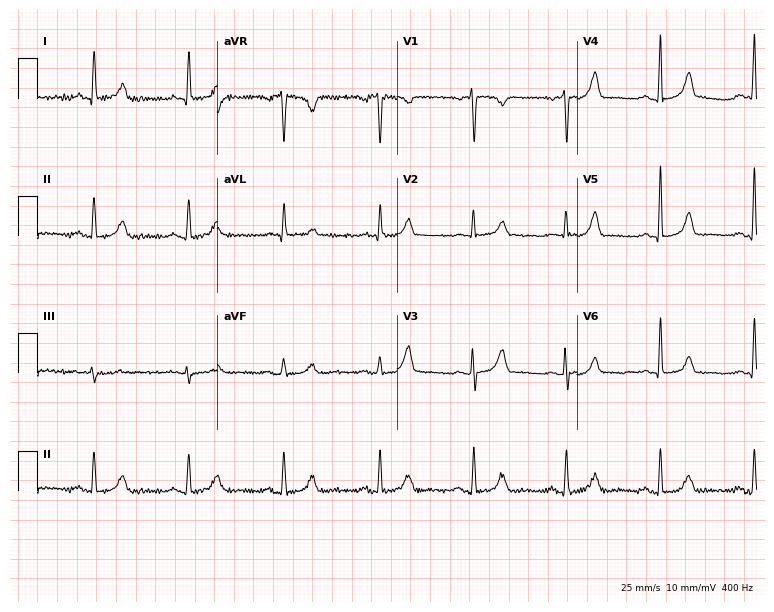
Standard 12-lead ECG recorded from a female, 71 years old. Read as a normal ECG.